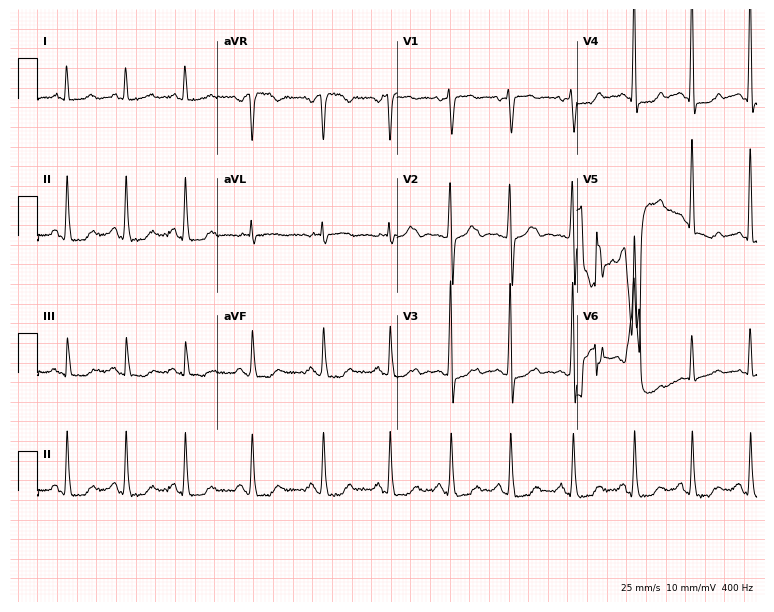
12-lead ECG from a woman, 63 years old. Recorded interpretation: within normal limits.